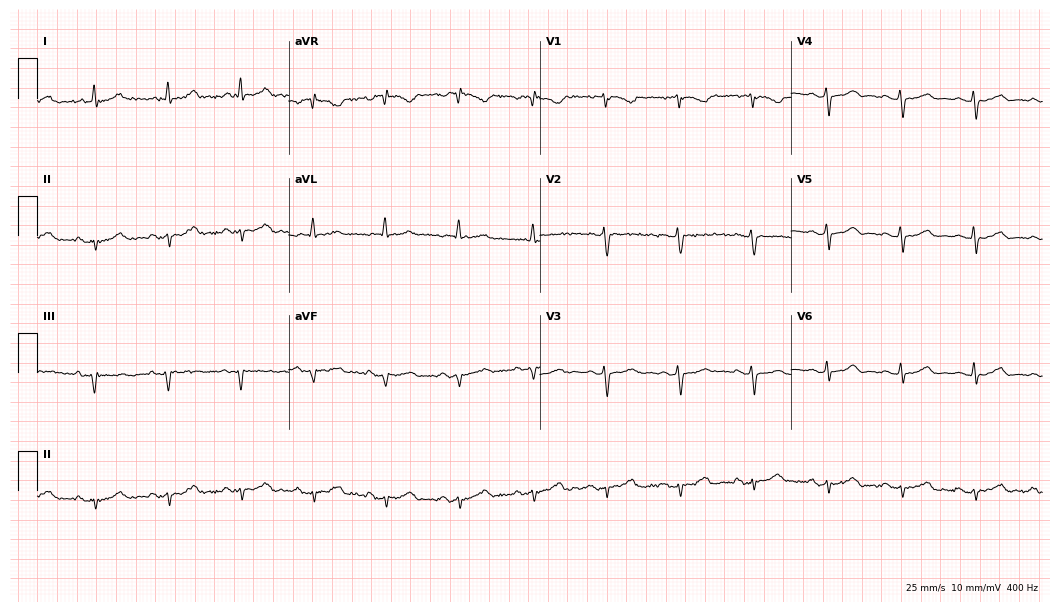
ECG — a woman, 74 years old. Labelled as a normal ECG.